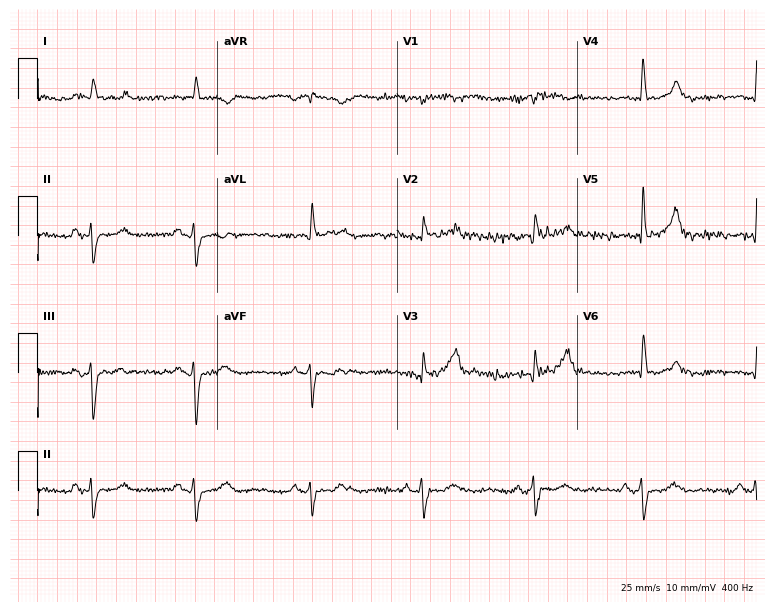
Resting 12-lead electrocardiogram (7.3-second recording at 400 Hz). Patient: a 76-year-old man. None of these six findings is recorded: first-degree AV block, right bundle branch block, left bundle branch block, sinus bradycardia, atrial fibrillation, sinus tachycardia. Only these six findings were labelled.